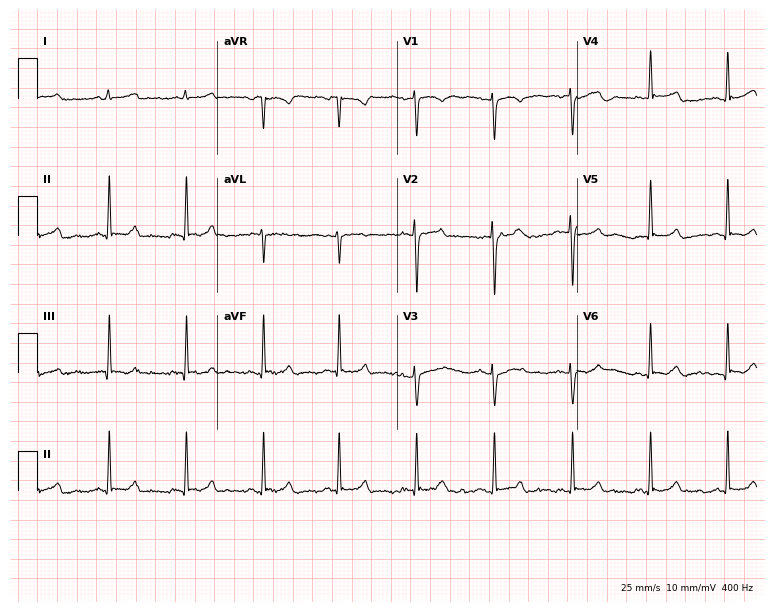
12-lead ECG from a 36-year-old female. Screened for six findings — first-degree AV block, right bundle branch block, left bundle branch block, sinus bradycardia, atrial fibrillation, sinus tachycardia — none is recorded.